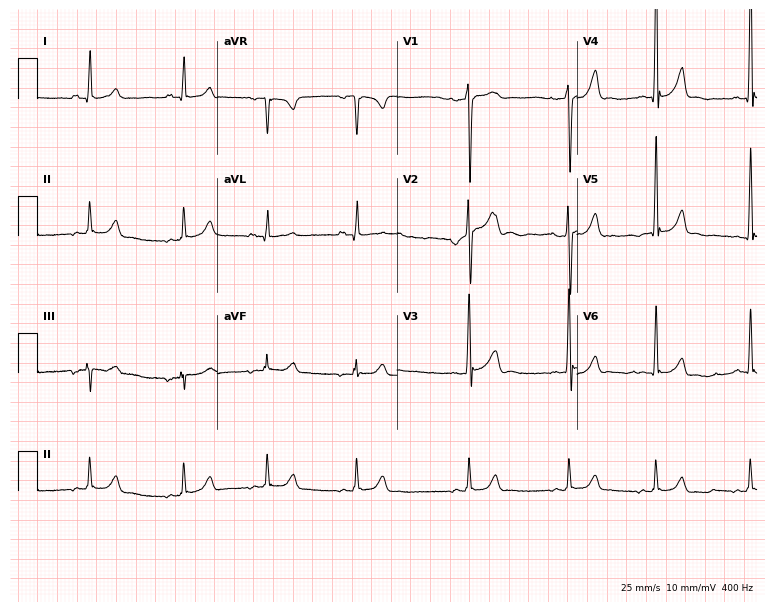
ECG (7.3-second recording at 400 Hz) — a man, 17 years old. Labelled as a normal ECG.